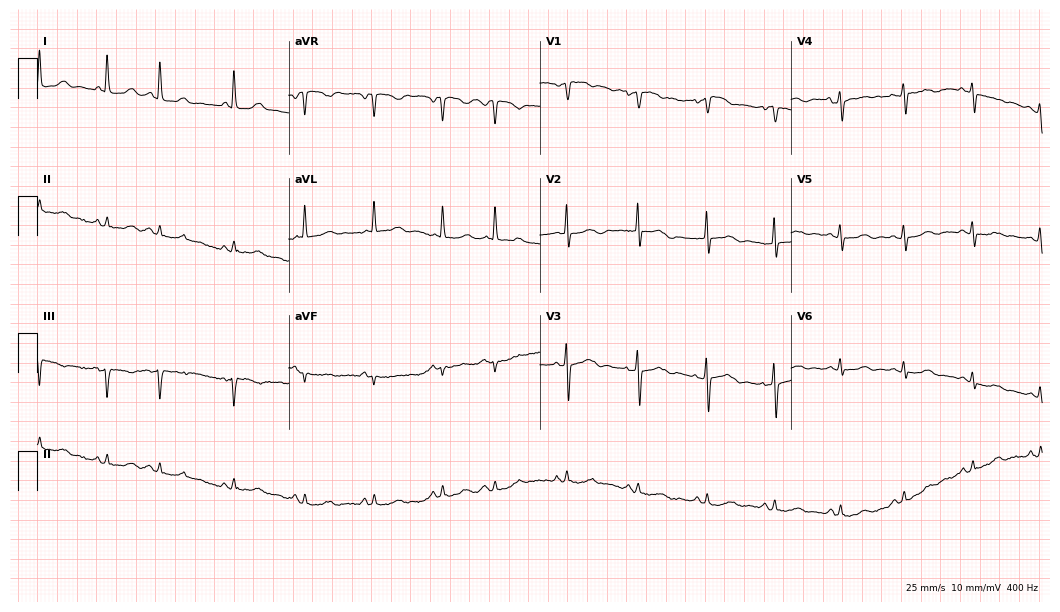
Resting 12-lead electrocardiogram (10.2-second recording at 400 Hz). Patient: a 68-year-old female. None of these six findings is recorded: first-degree AV block, right bundle branch block (RBBB), left bundle branch block (LBBB), sinus bradycardia, atrial fibrillation (AF), sinus tachycardia.